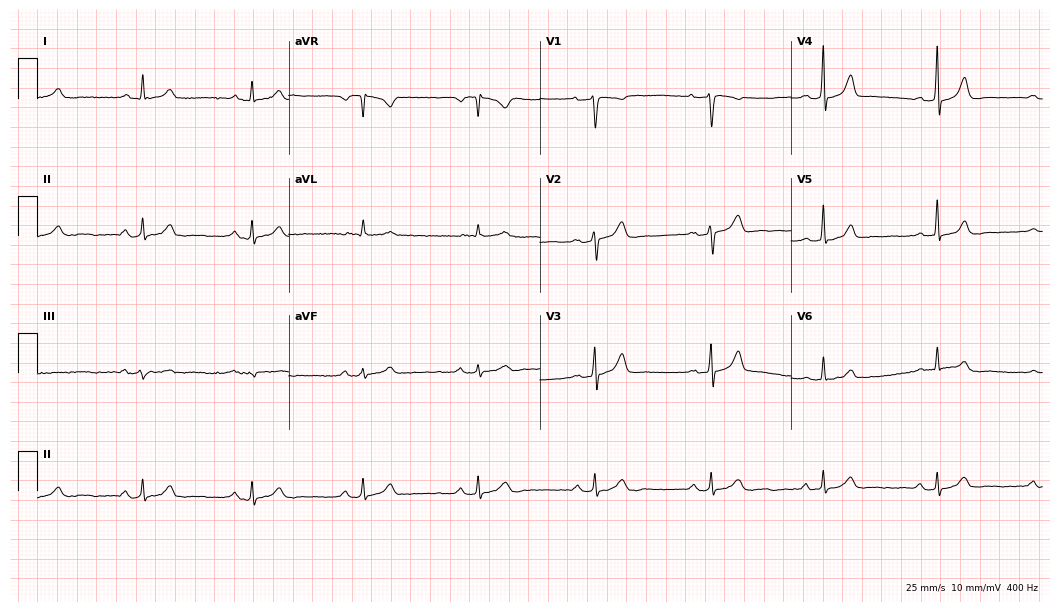
Resting 12-lead electrocardiogram. Patient: a female, 42 years old. Read as a normal ECG.